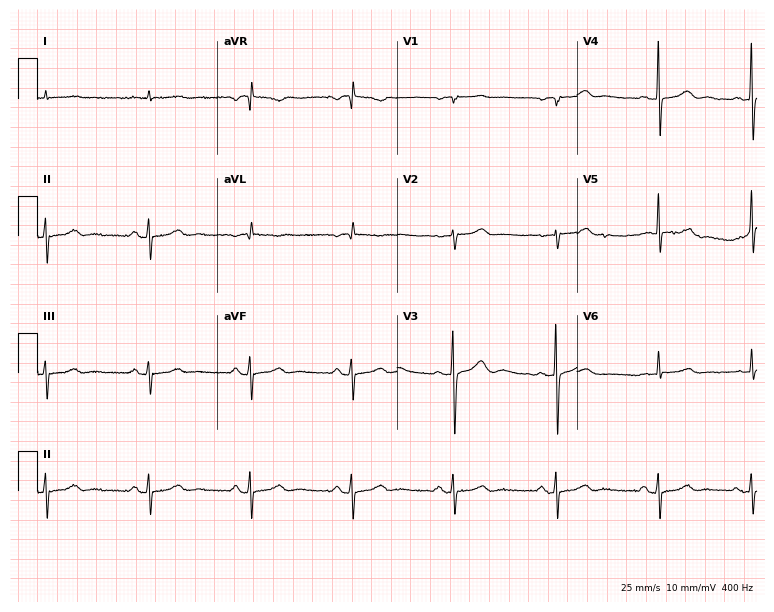
Standard 12-lead ECG recorded from an 84-year-old man (7.3-second recording at 400 Hz). None of these six findings is recorded: first-degree AV block, right bundle branch block (RBBB), left bundle branch block (LBBB), sinus bradycardia, atrial fibrillation (AF), sinus tachycardia.